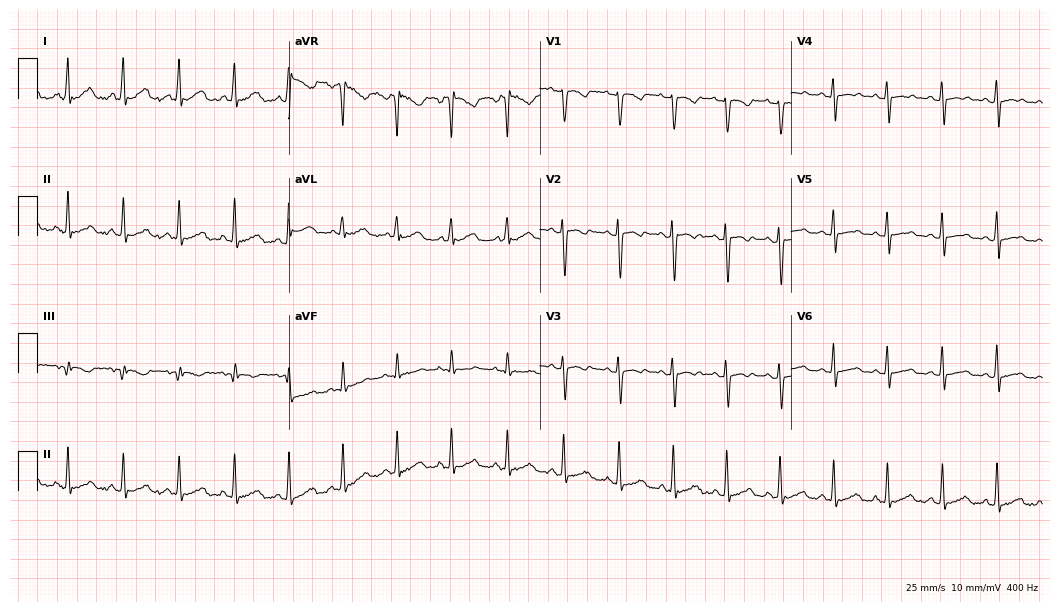
ECG (10.2-second recording at 400 Hz) — a 19-year-old female. Findings include sinus tachycardia (a sinus rate of 100 beats per minute or more).